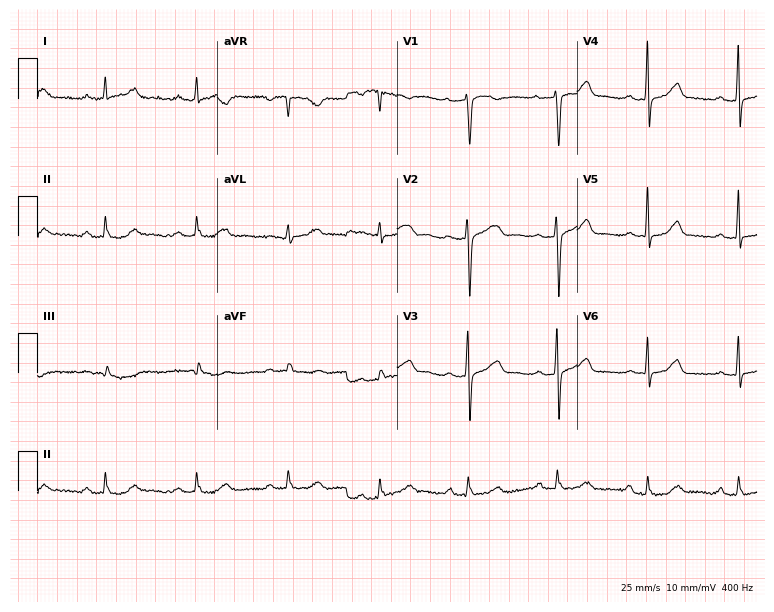
12-lead ECG from a 58-year-old woman. Screened for six findings — first-degree AV block, right bundle branch block, left bundle branch block, sinus bradycardia, atrial fibrillation, sinus tachycardia — none is recorded. Only these six findings were labelled.